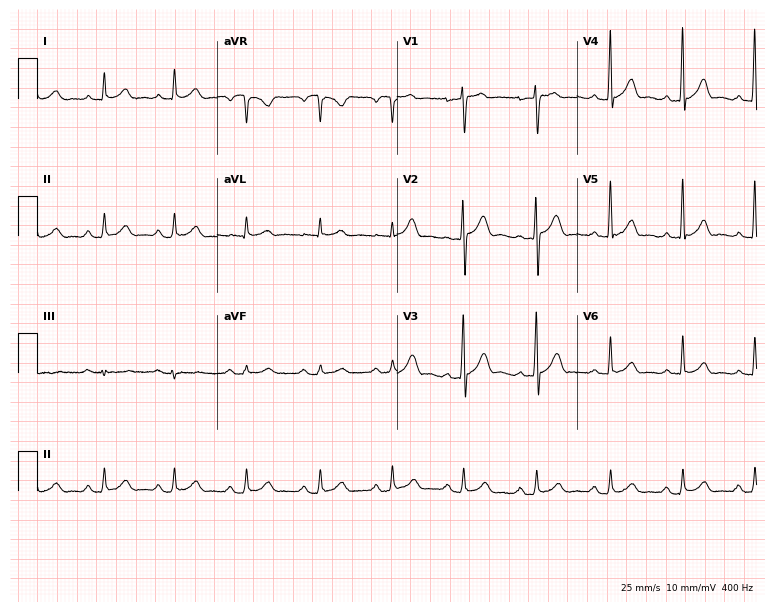
12-lead ECG (7.3-second recording at 400 Hz) from a 46-year-old man. Labelled as a normal ECG.